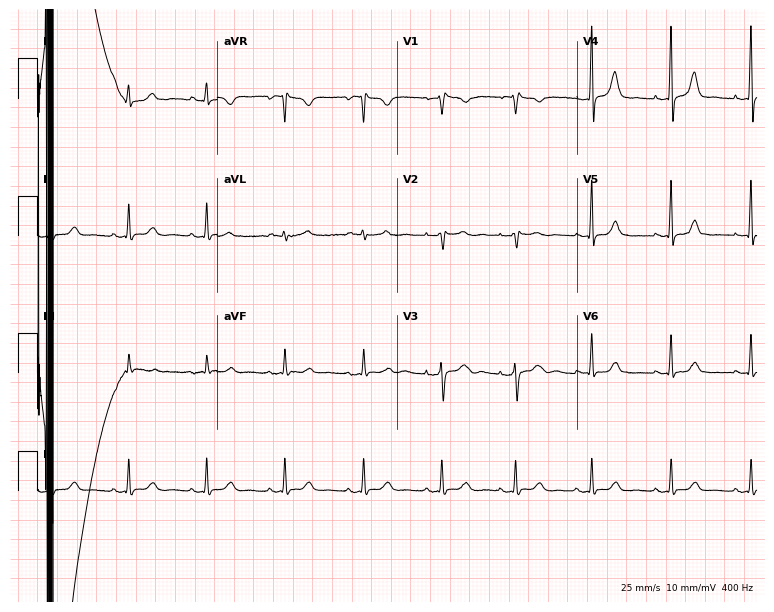
Electrocardiogram, a female patient, 36 years old. Of the six screened findings (first-degree AV block, right bundle branch block, left bundle branch block, sinus bradycardia, atrial fibrillation, sinus tachycardia), none is recorded. Only these six findings were labelled.